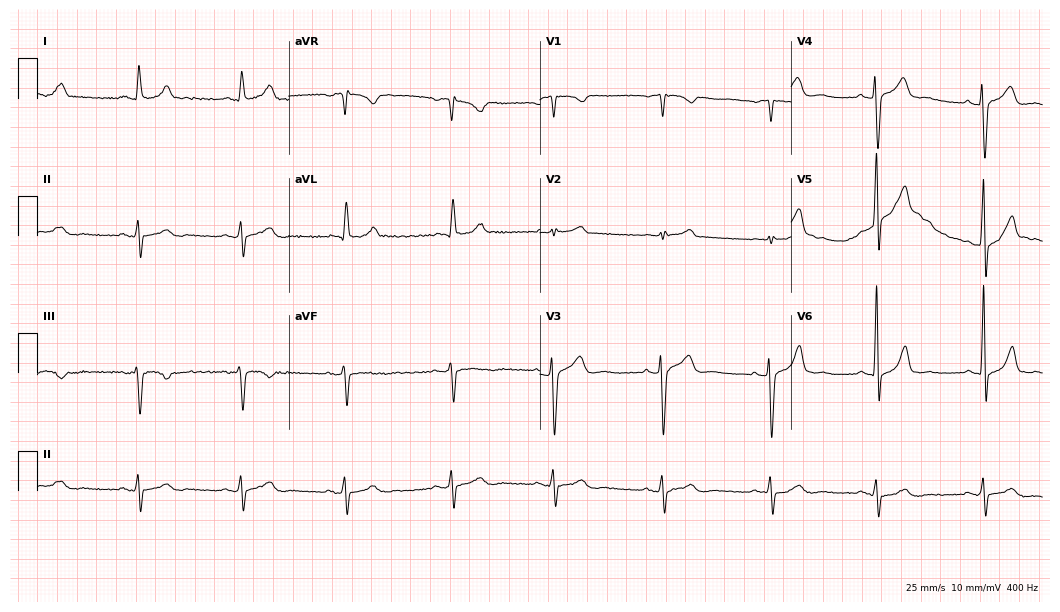
12-lead ECG from a male patient, 64 years old. No first-degree AV block, right bundle branch block, left bundle branch block, sinus bradycardia, atrial fibrillation or sinus tachycardia recorded for this tracing. Only these six findings were labelled.